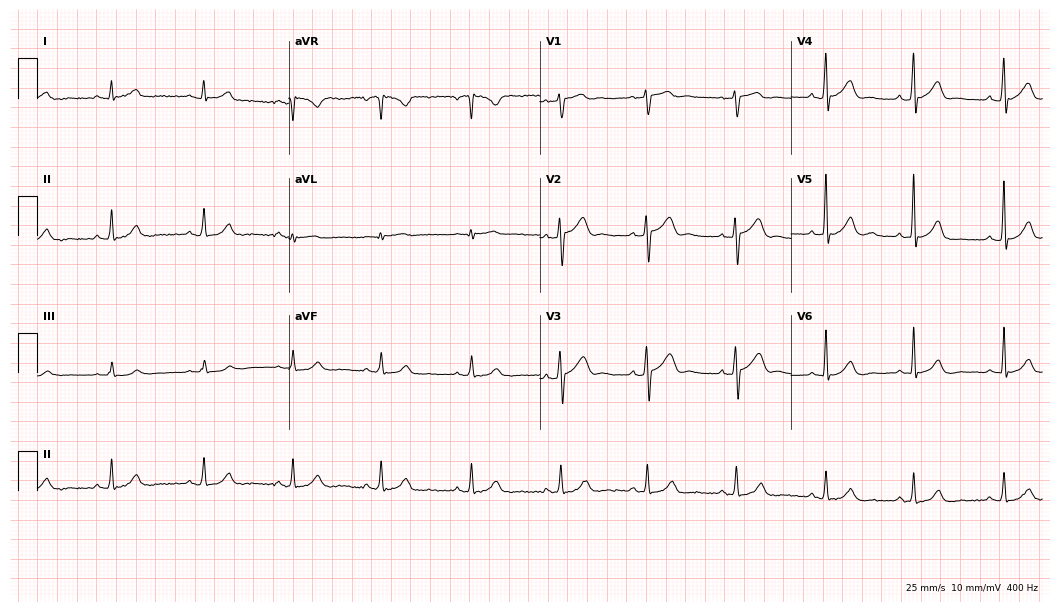
12-lead ECG from a 48-year-old male patient. Recorded interpretation: within normal limits.